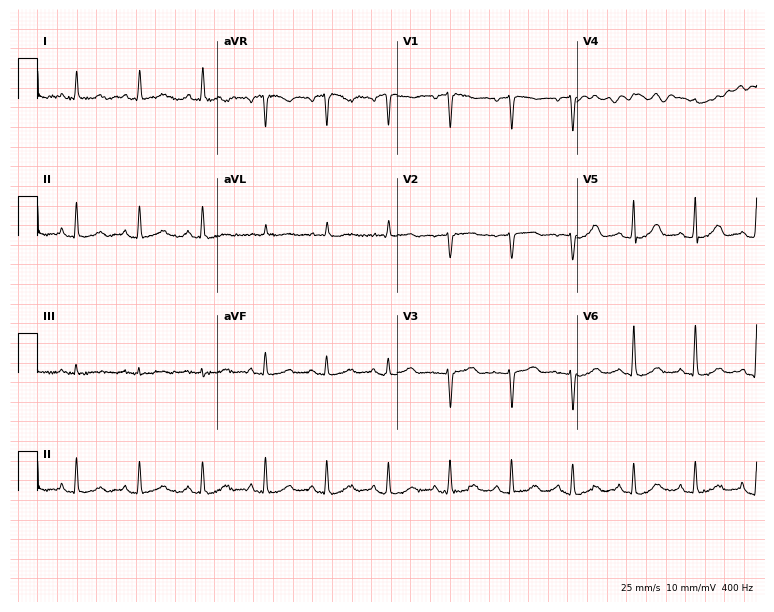
Resting 12-lead electrocardiogram (7.3-second recording at 400 Hz). Patient: a 65-year-old woman. None of these six findings is recorded: first-degree AV block, right bundle branch block, left bundle branch block, sinus bradycardia, atrial fibrillation, sinus tachycardia.